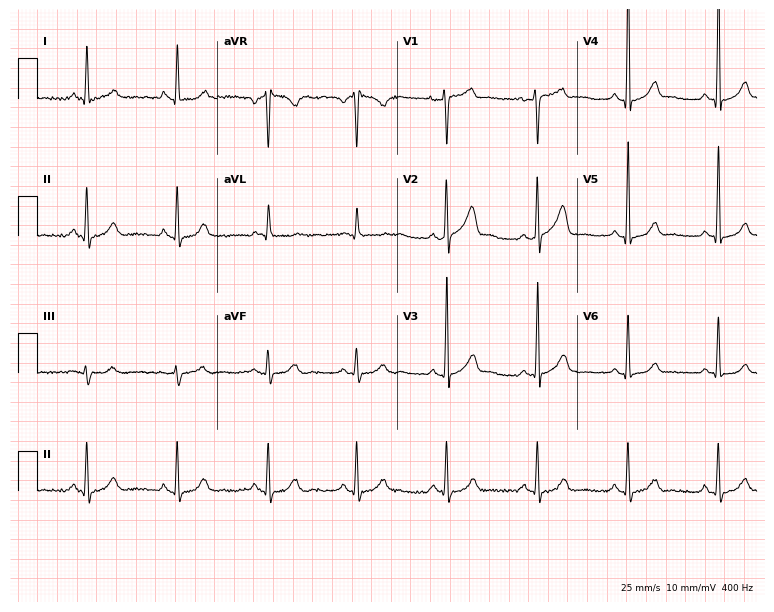
12-lead ECG (7.3-second recording at 400 Hz) from a 58-year-old man. Labelled as a normal ECG.